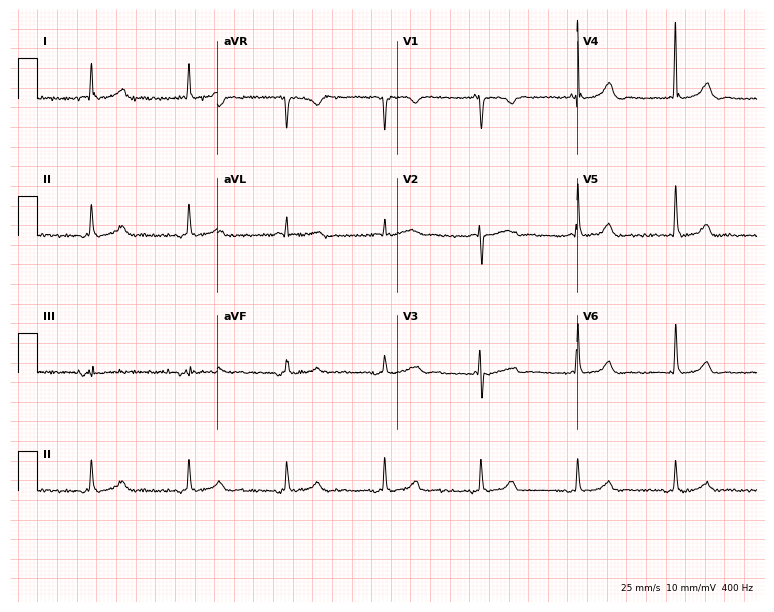
ECG (7.3-second recording at 400 Hz) — a 47-year-old female patient. Labelled as a normal ECG.